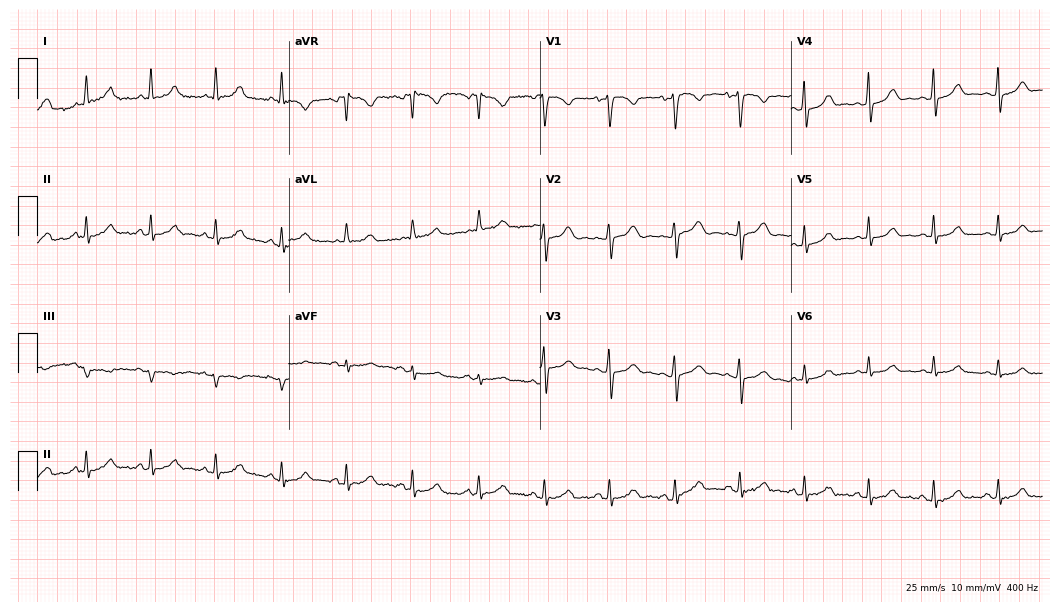
12-lead ECG (10.2-second recording at 400 Hz) from a woman, 41 years old. Screened for six findings — first-degree AV block, right bundle branch block, left bundle branch block, sinus bradycardia, atrial fibrillation, sinus tachycardia — none is recorded. Other findings, if any, are not listed.